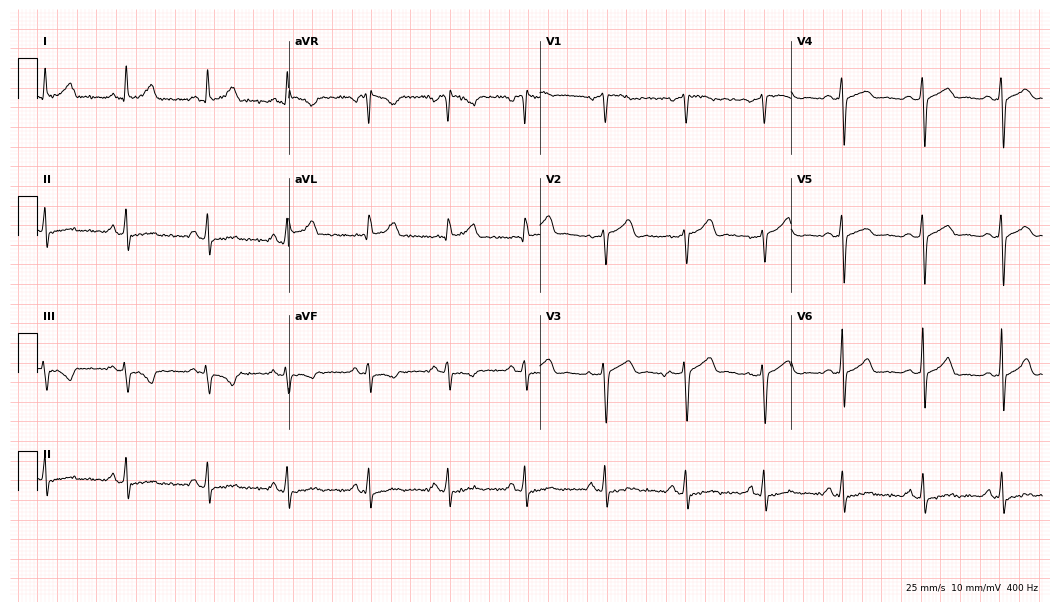
ECG (10.2-second recording at 400 Hz) — a 45-year-old female patient. Screened for six findings — first-degree AV block, right bundle branch block (RBBB), left bundle branch block (LBBB), sinus bradycardia, atrial fibrillation (AF), sinus tachycardia — none is recorded.